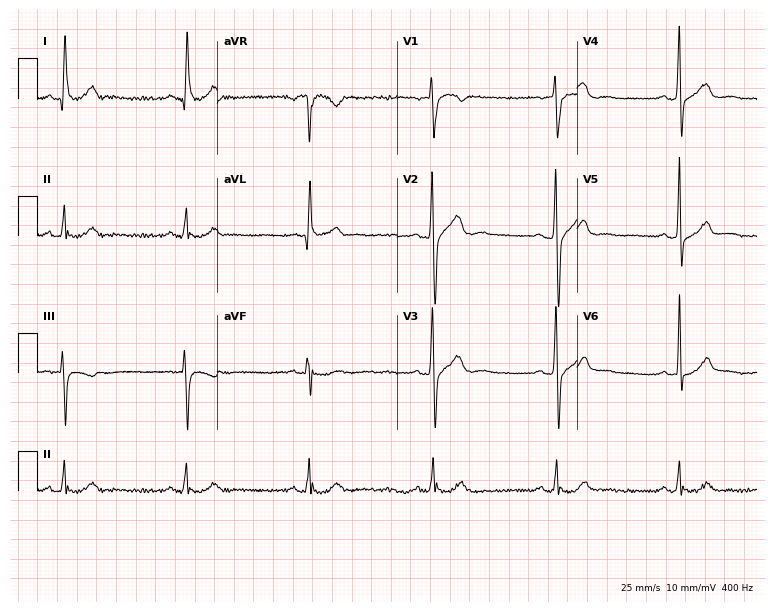
12-lead ECG (7.3-second recording at 400 Hz) from a 65-year-old male. Findings include sinus bradycardia (a sinus rate of 50 beats per minute or less).